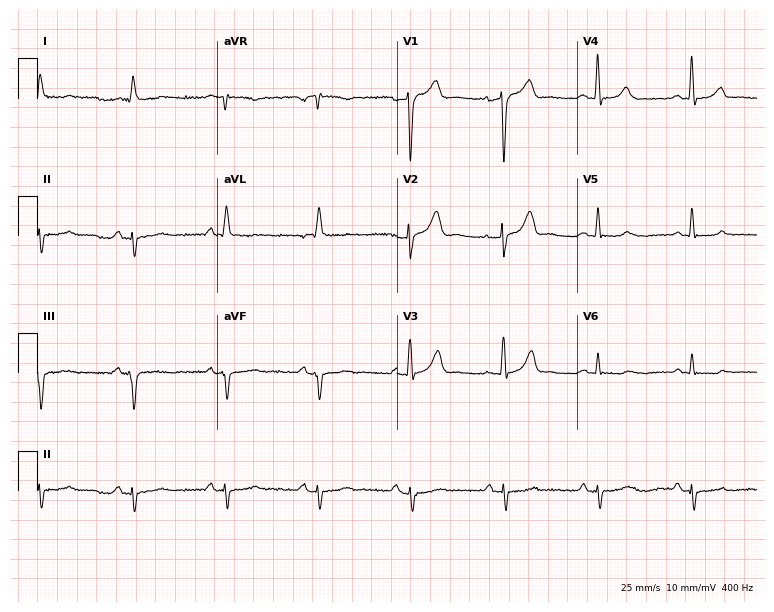
12-lead ECG from a 75-year-old man (7.3-second recording at 400 Hz). No first-degree AV block, right bundle branch block, left bundle branch block, sinus bradycardia, atrial fibrillation or sinus tachycardia recorded for this tracing.